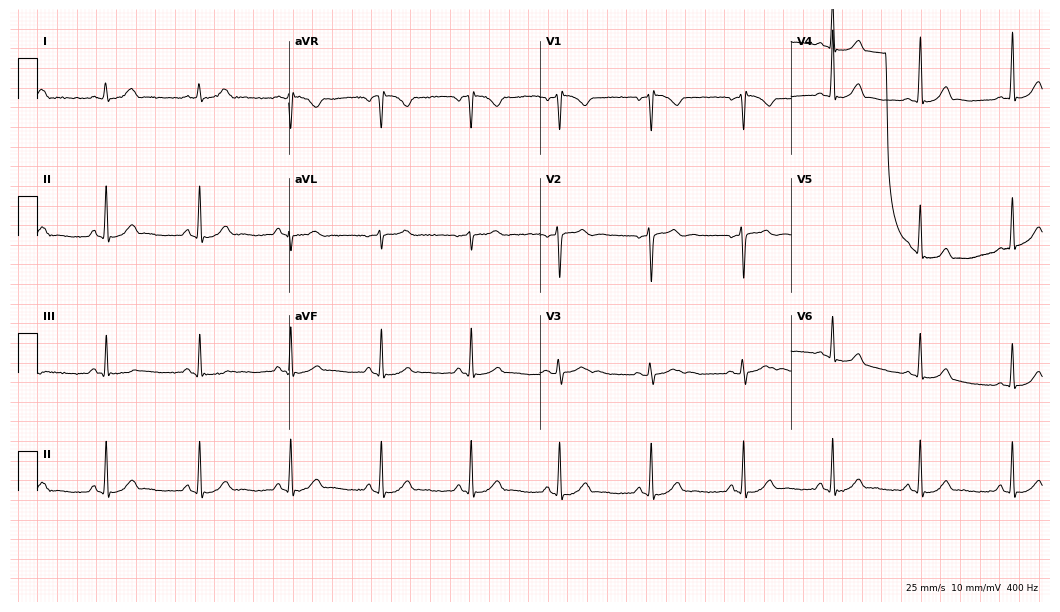
Resting 12-lead electrocardiogram. Patient: a 23-year-old female. None of these six findings is recorded: first-degree AV block, right bundle branch block, left bundle branch block, sinus bradycardia, atrial fibrillation, sinus tachycardia.